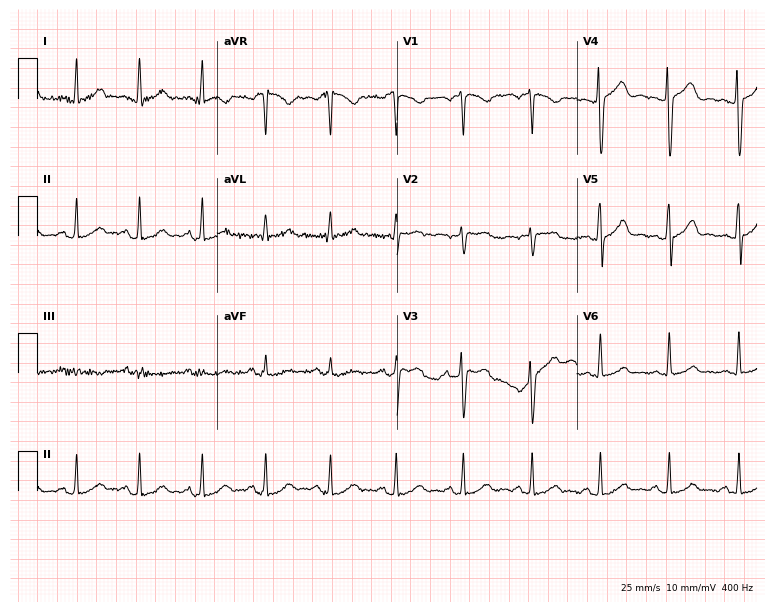
12-lead ECG from a female, 26 years old. Screened for six findings — first-degree AV block, right bundle branch block, left bundle branch block, sinus bradycardia, atrial fibrillation, sinus tachycardia — none is recorded. Only these six findings were labelled.